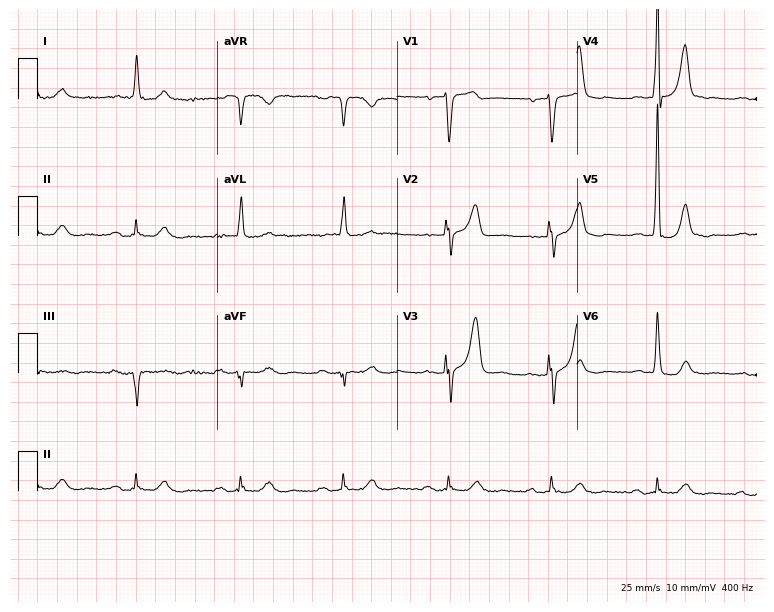
Resting 12-lead electrocardiogram (7.3-second recording at 400 Hz). Patient: a male, 82 years old. None of these six findings is recorded: first-degree AV block, right bundle branch block (RBBB), left bundle branch block (LBBB), sinus bradycardia, atrial fibrillation (AF), sinus tachycardia. Findings outside these six are not listed.